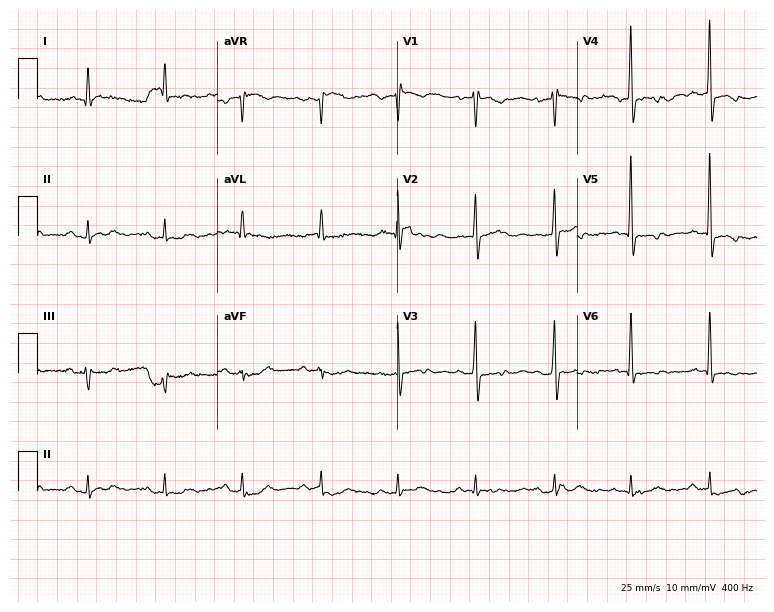
ECG (7.3-second recording at 400 Hz) — an 82-year-old man. Screened for six findings — first-degree AV block, right bundle branch block, left bundle branch block, sinus bradycardia, atrial fibrillation, sinus tachycardia — none is recorded.